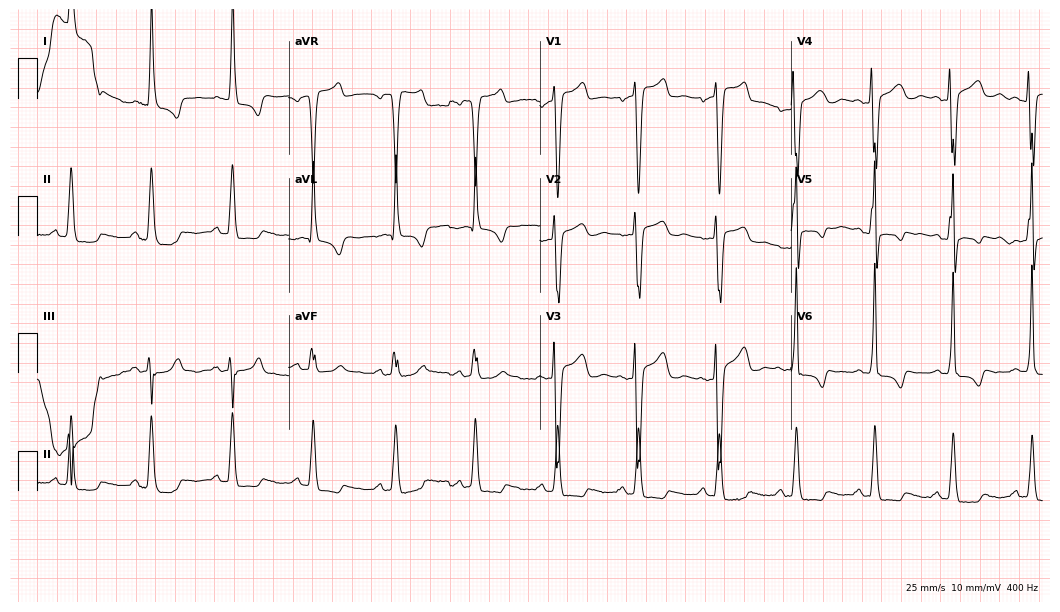
ECG — a woman, 56 years old. Screened for six findings — first-degree AV block, right bundle branch block (RBBB), left bundle branch block (LBBB), sinus bradycardia, atrial fibrillation (AF), sinus tachycardia — none is recorded.